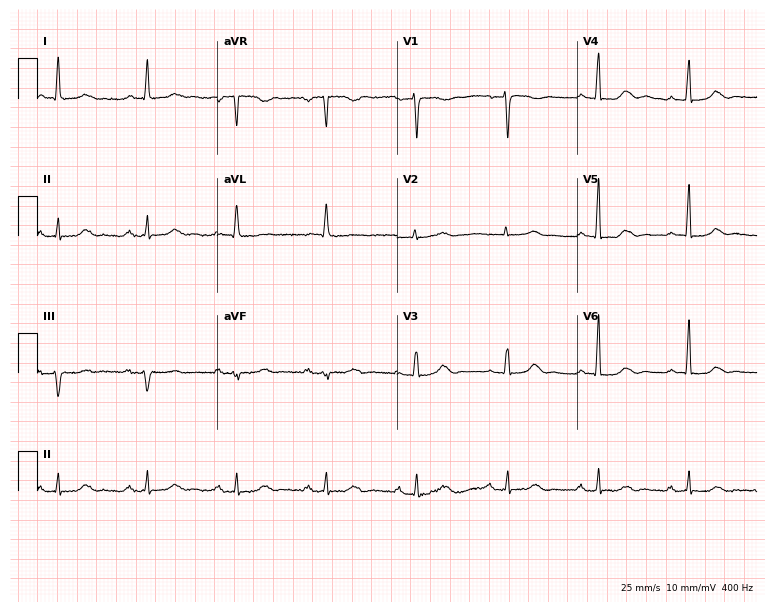
ECG — a 73-year-old female patient. Labelled as a normal ECG.